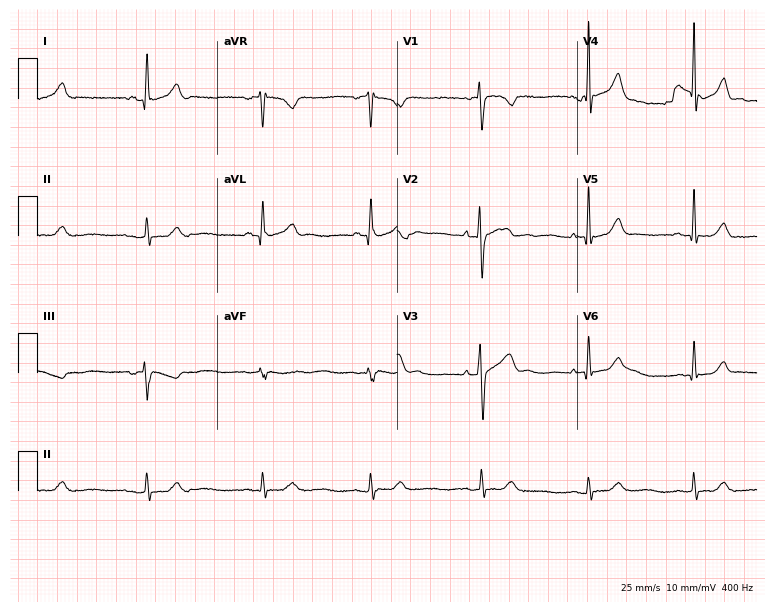
Standard 12-lead ECG recorded from a 34-year-old male patient (7.3-second recording at 400 Hz). None of these six findings is recorded: first-degree AV block, right bundle branch block, left bundle branch block, sinus bradycardia, atrial fibrillation, sinus tachycardia.